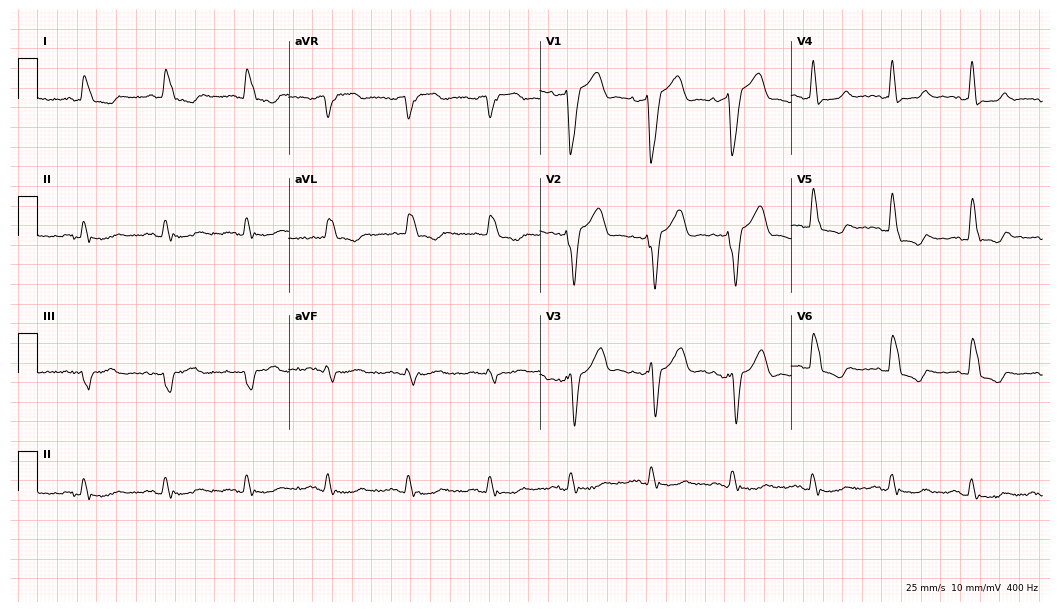
Electrocardiogram, a 78-year-old male patient. Interpretation includes left bundle branch block.